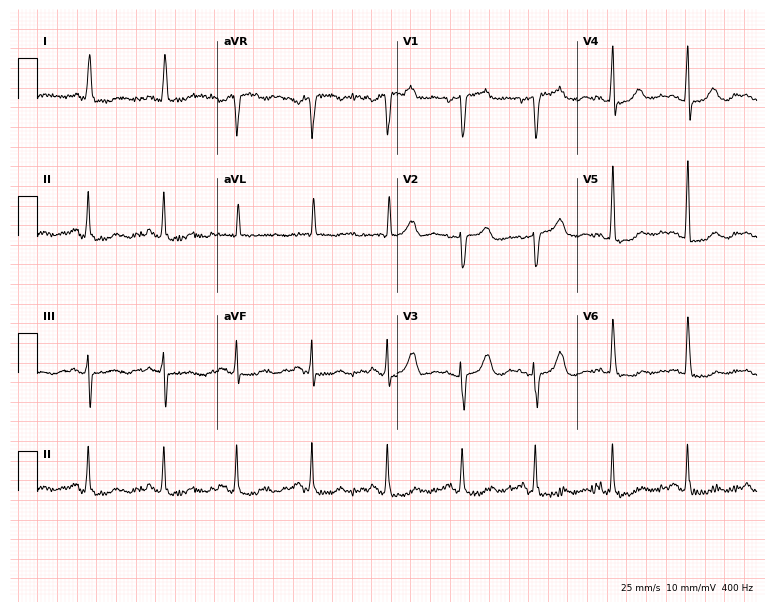
Electrocardiogram (7.3-second recording at 400 Hz), an 81-year-old woman. Of the six screened findings (first-degree AV block, right bundle branch block, left bundle branch block, sinus bradycardia, atrial fibrillation, sinus tachycardia), none is recorded.